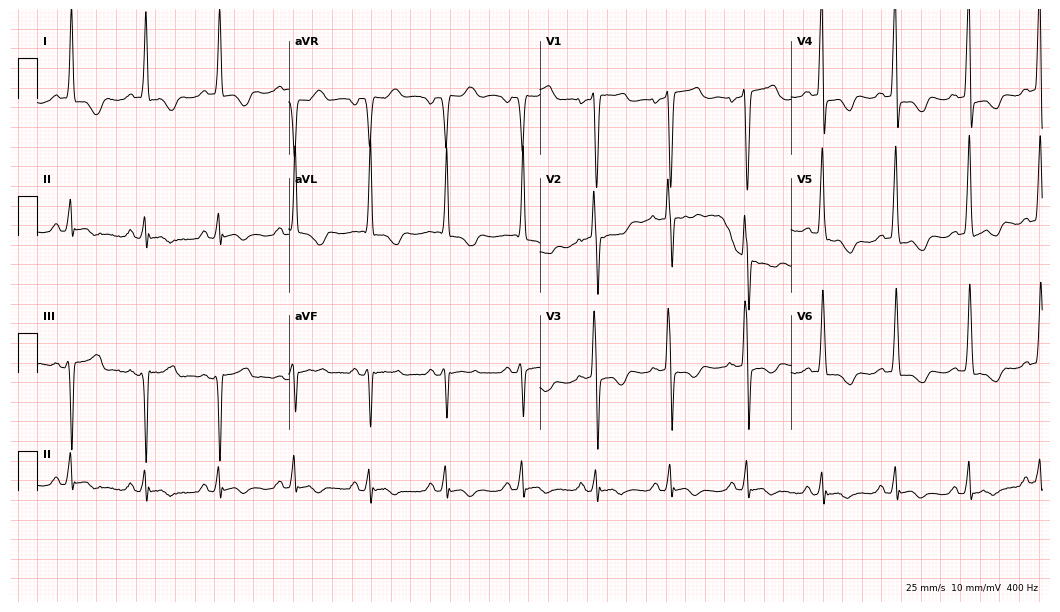
12-lead ECG from a 45-year-old male patient. Screened for six findings — first-degree AV block, right bundle branch block, left bundle branch block, sinus bradycardia, atrial fibrillation, sinus tachycardia — none is recorded.